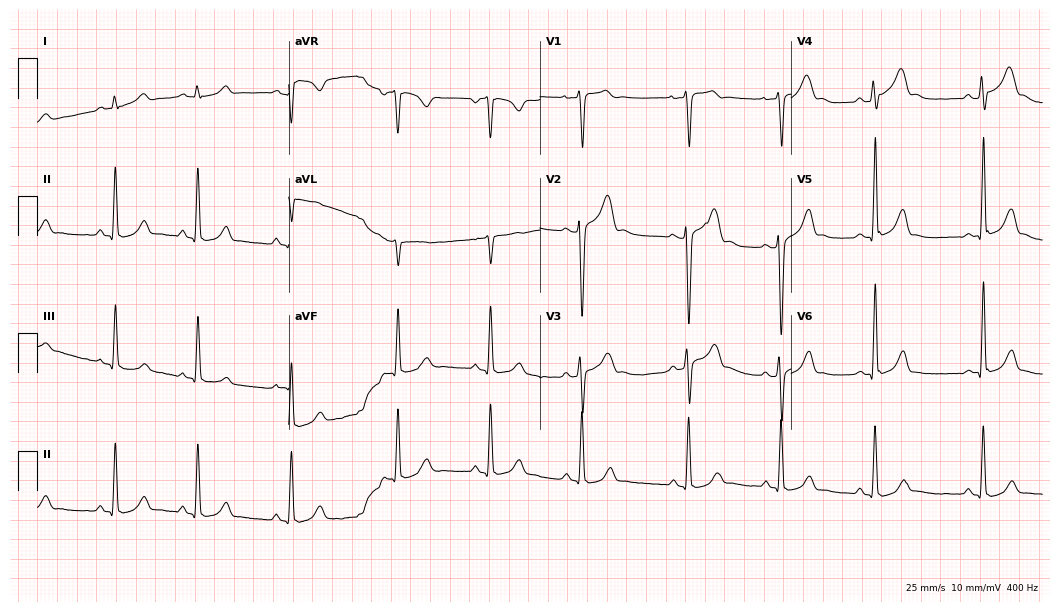
Standard 12-lead ECG recorded from a man, 18 years old (10.2-second recording at 400 Hz). Read as a normal ECG.